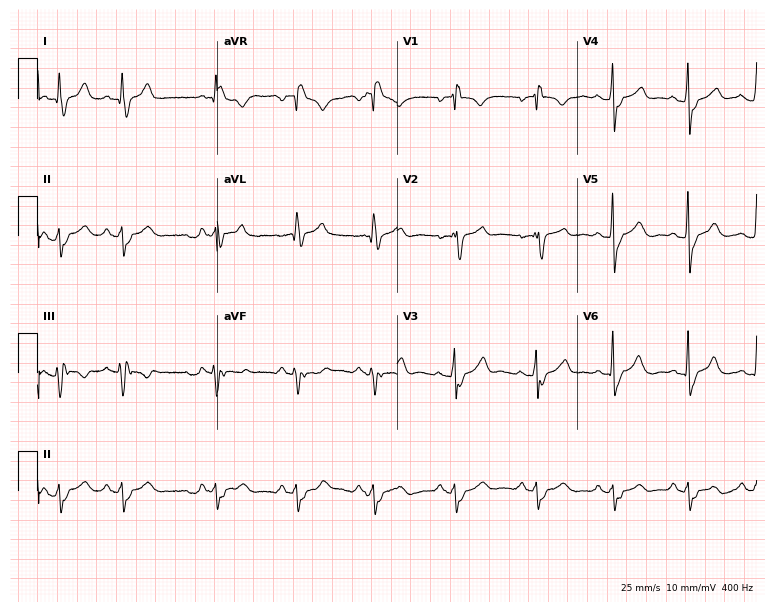
12-lead ECG (7.3-second recording at 400 Hz) from a man, 63 years old. Findings include right bundle branch block (RBBB).